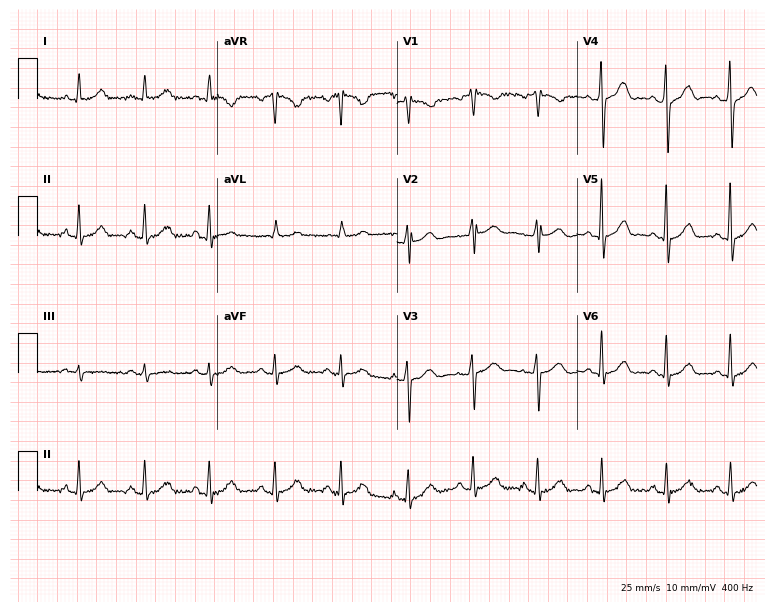
12-lead ECG from a 57-year-old female patient. Labelled as a normal ECG.